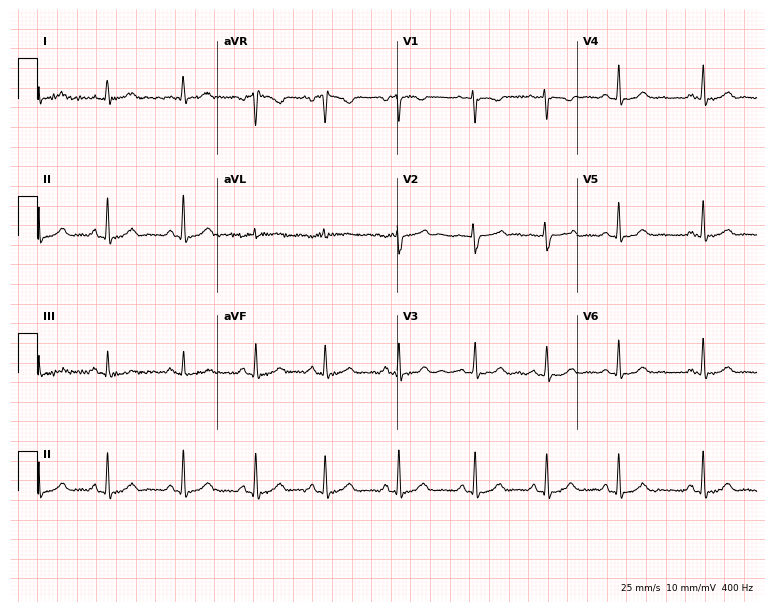
12-lead ECG from a female, 31 years old (7.3-second recording at 400 Hz). No first-degree AV block, right bundle branch block (RBBB), left bundle branch block (LBBB), sinus bradycardia, atrial fibrillation (AF) or sinus tachycardia recorded for this tracing.